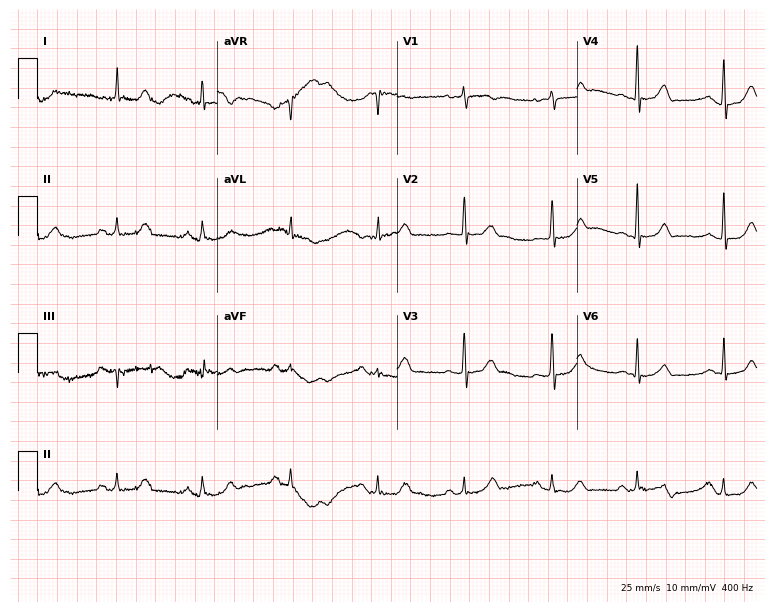
12-lead ECG from a female patient, 69 years old (7.3-second recording at 400 Hz). Recorded interpretation: within normal limits.